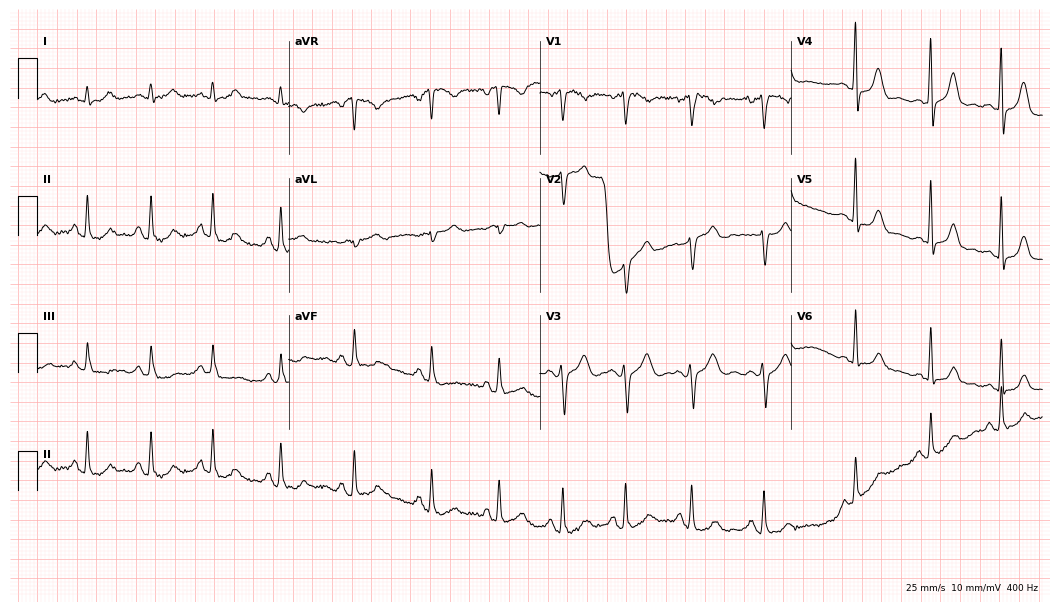
12-lead ECG from a female, 36 years old. No first-degree AV block, right bundle branch block (RBBB), left bundle branch block (LBBB), sinus bradycardia, atrial fibrillation (AF) or sinus tachycardia recorded for this tracing. Findings outside these six are not listed.